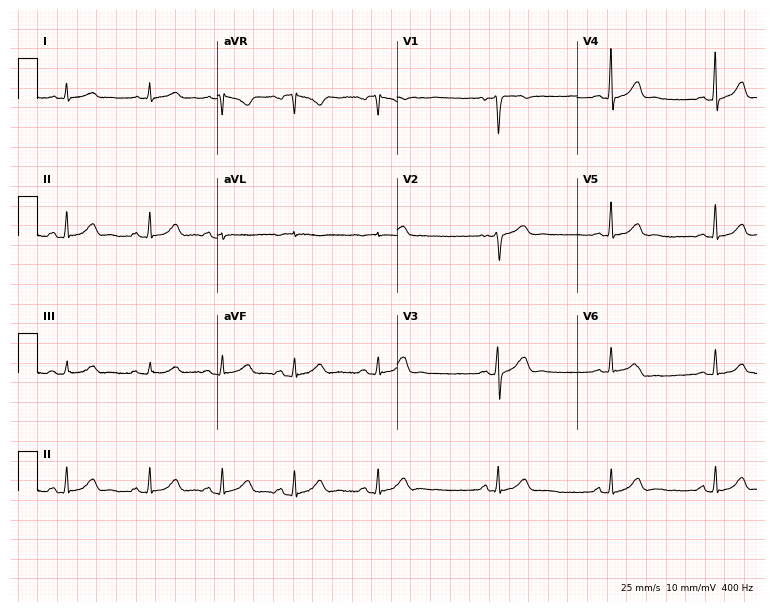
Electrocardiogram (7.3-second recording at 400 Hz), a 17-year-old male. Overall reading on record: normal ECG.